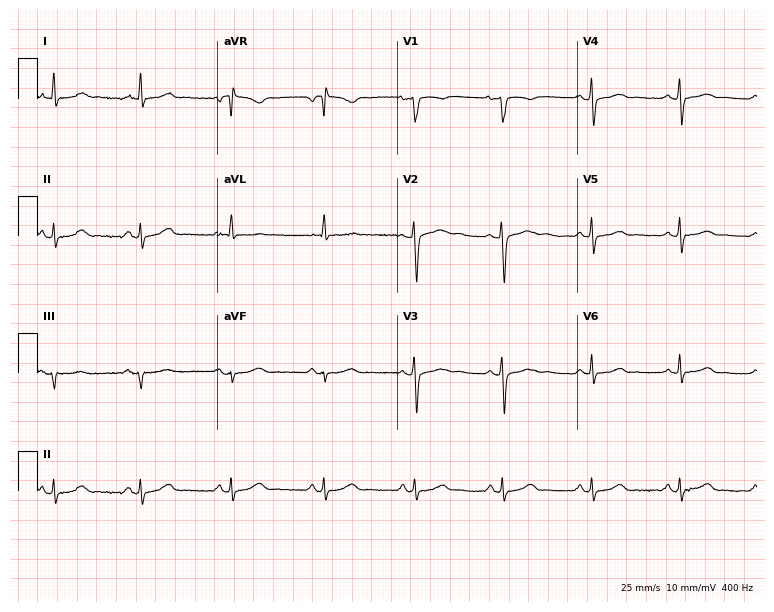
Resting 12-lead electrocardiogram (7.3-second recording at 400 Hz). Patient: a 55-year-old female. Read as a normal ECG.